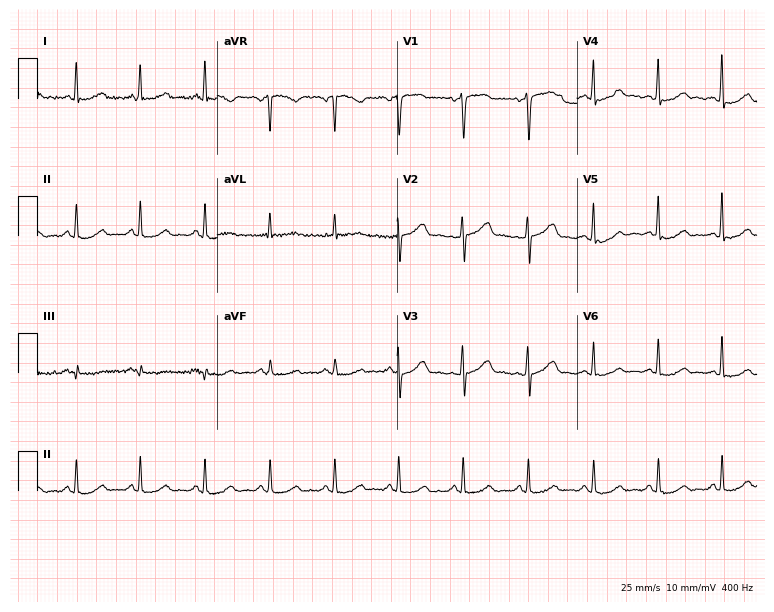
Resting 12-lead electrocardiogram (7.3-second recording at 400 Hz). Patient: a 70-year-old female. Read as a normal ECG.